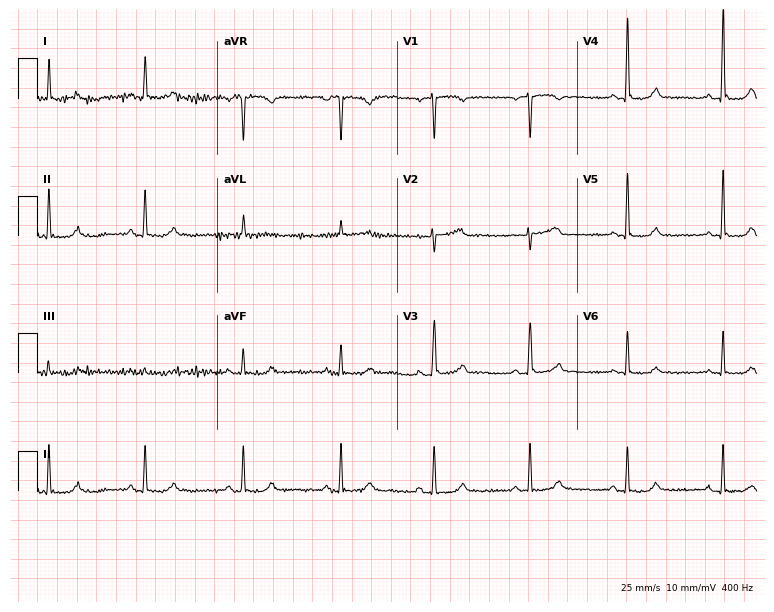
Resting 12-lead electrocardiogram. Patient: a female, 59 years old. None of these six findings is recorded: first-degree AV block, right bundle branch block (RBBB), left bundle branch block (LBBB), sinus bradycardia, atrial fibrillation (AF), sinus tachycardia.